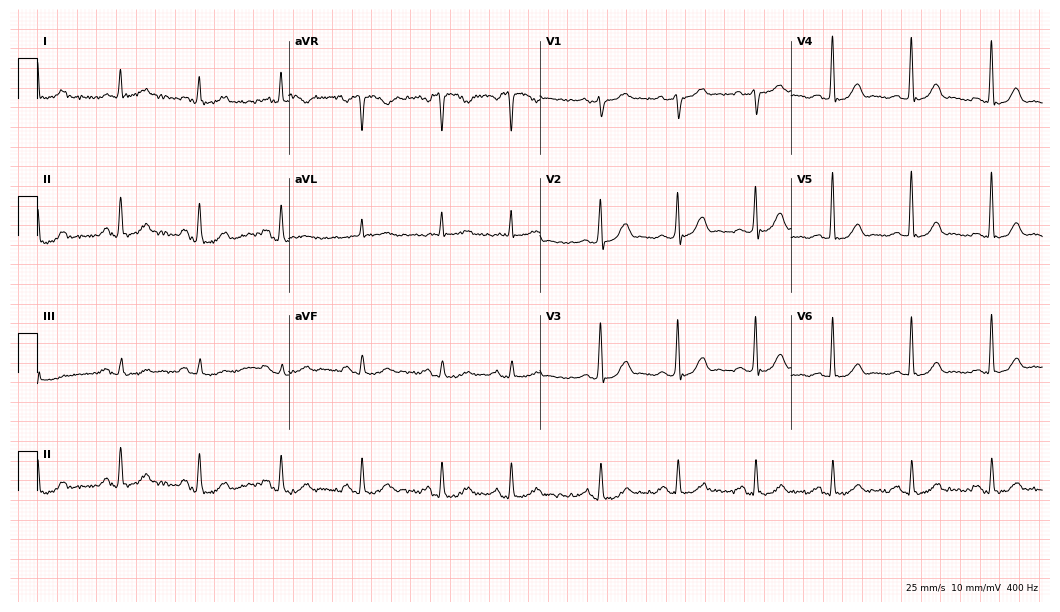
ECG — a man, 74 years old. Labelled as a normal ECG.